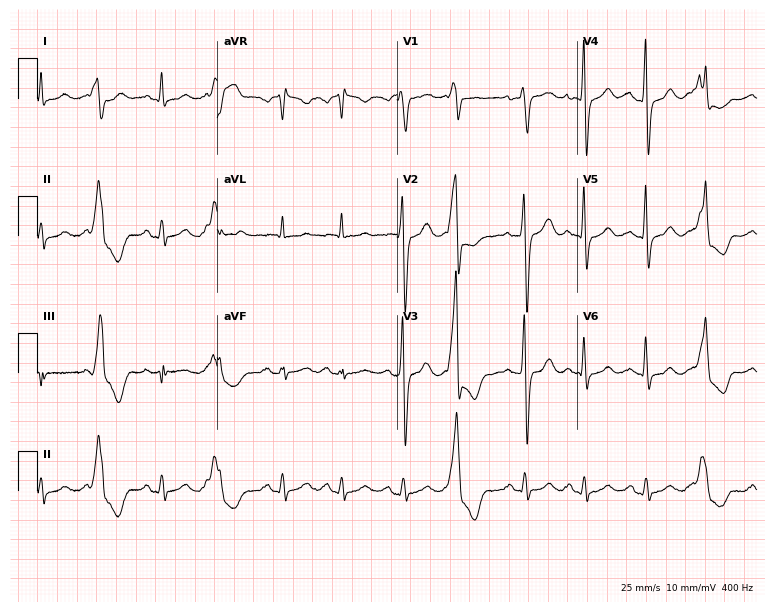
12-lead ECG (7.3-second recording at 400 Hz) from a 57-year-old man. Screened for six findings — first-degree AV block, right bundle branch block, left bundle branch block, sinus bradycardia, atrial fibrillation, sinus tachycardia — none is recorded.